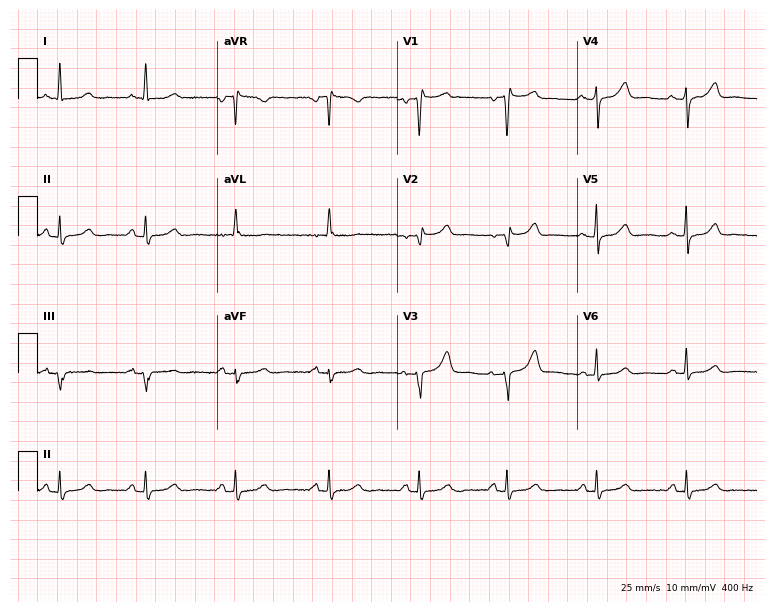
Resting 12-lead electrocardiogram (7.3-second recording at 400 Hz). Patient: a female, 48 years old. None of these six findings is recorded: first-degree AV block, right bundle branch block, left bundle branch block, sinus bradycardia, atrial fibrillation, sinus tachycardia. Other findings, if any, are not listed.